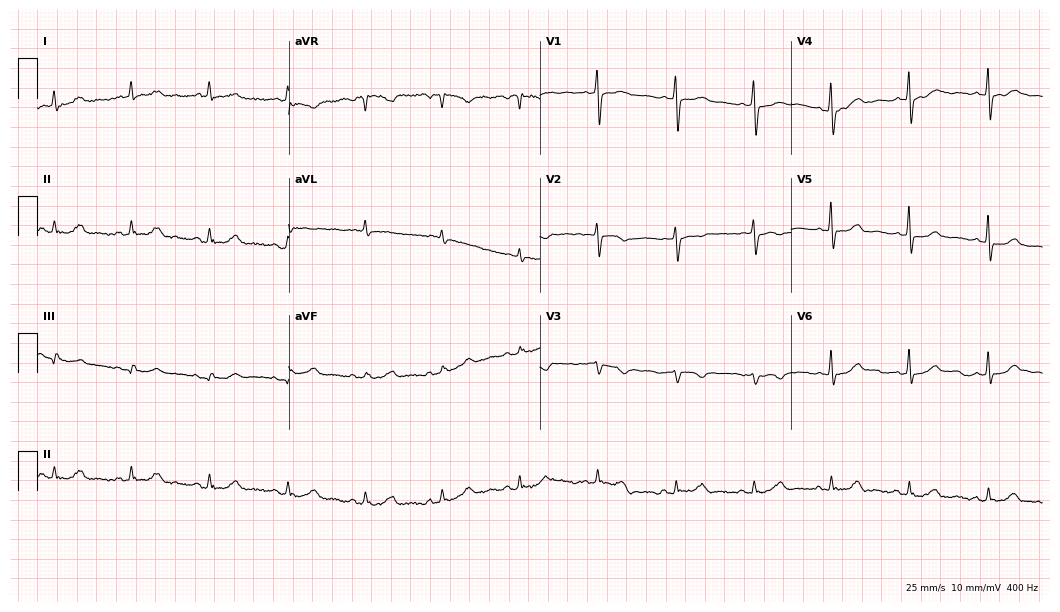
12-lead ECG from a female, 77 years old. Labelled as a normal ECG.